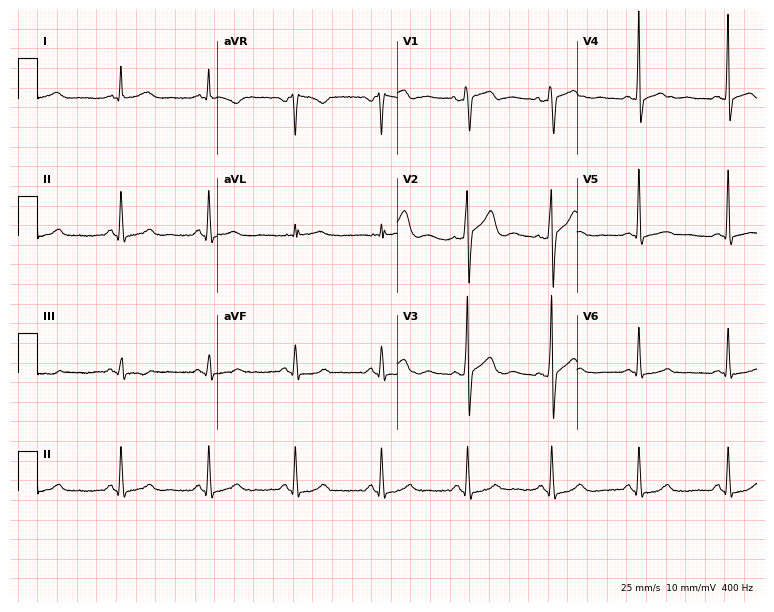
12-lead ECG from a 50-year-old male. Recorded interpretation: within normal limits.